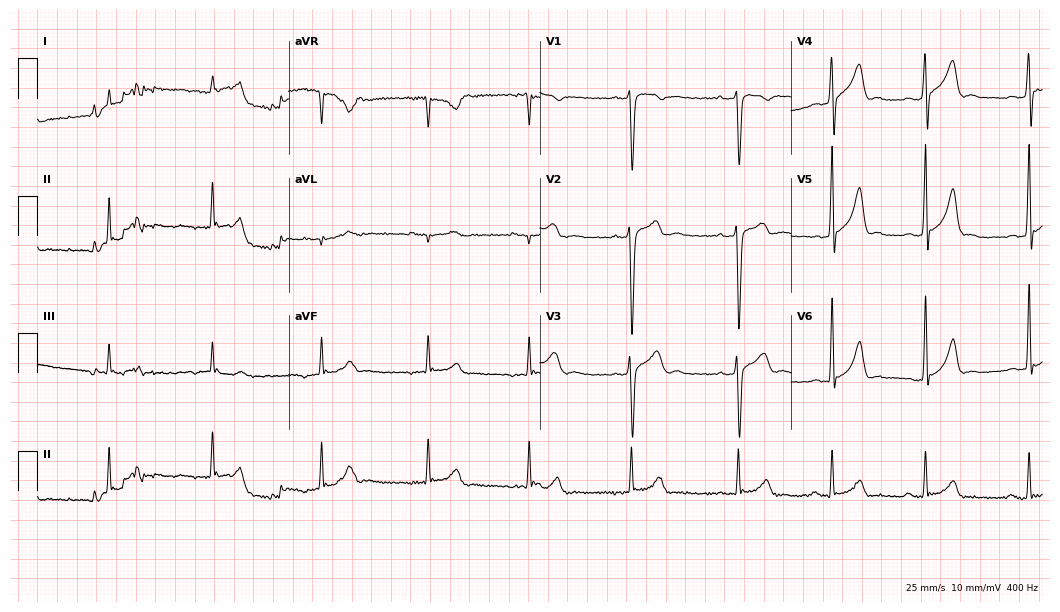
12-lead ECG from a man, 20 years old. No first-degree AV block, right bundle branch block (RBBB), left bundle branch block (LBBB), sinus bradycardia, atrial fibrillation (AF) or sinus tachycardia recorded for this tracing.